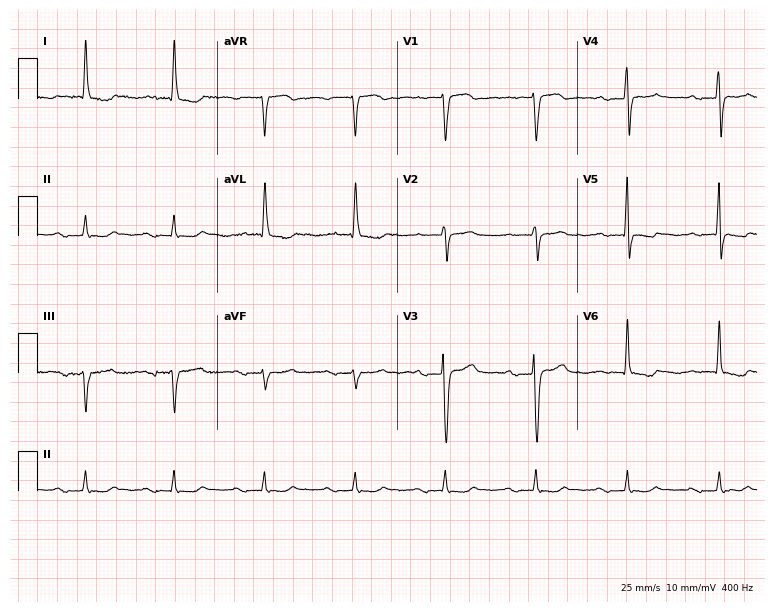
ECG (7.3-second recording at 400 Hz) — a woman, 78 years old. Findings include first-degree AV block.